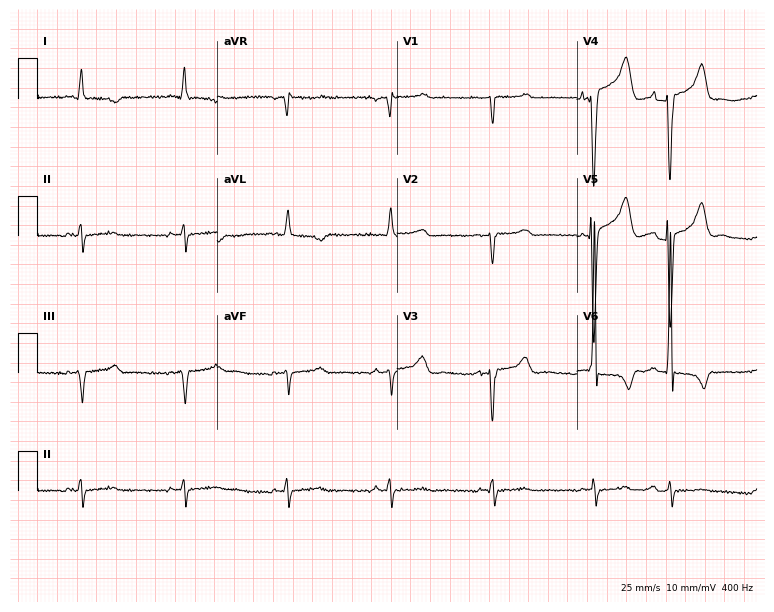
ECG — a 74-year-old male patient. Screened for six findings — first-degree AV block, right bundle branch block, left bundle branch block, sinus bradycardia, atrial fibrillation, sinus tachycardia — none is recorded. Findings outside these six are not listed.